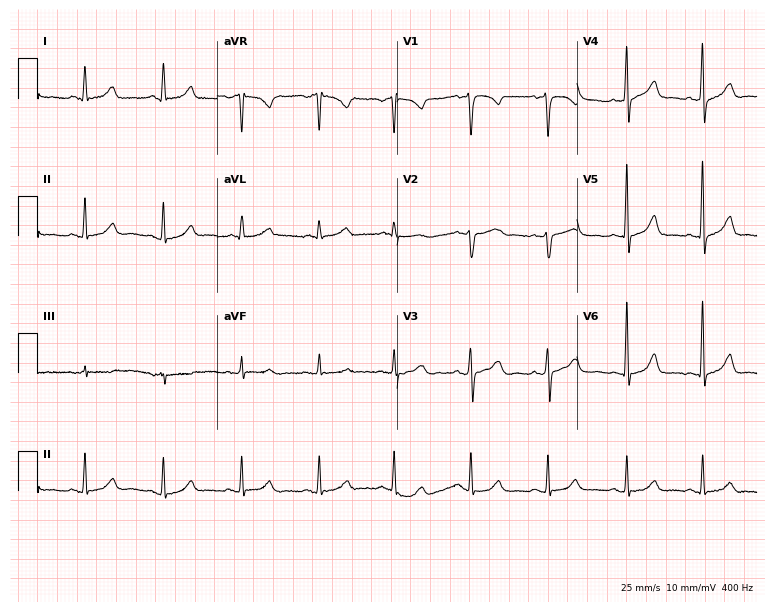
12-lead ECG (7.3-second recording at 400 Hz) from a female patient, 46 years old. Labelled as a normal ECG.